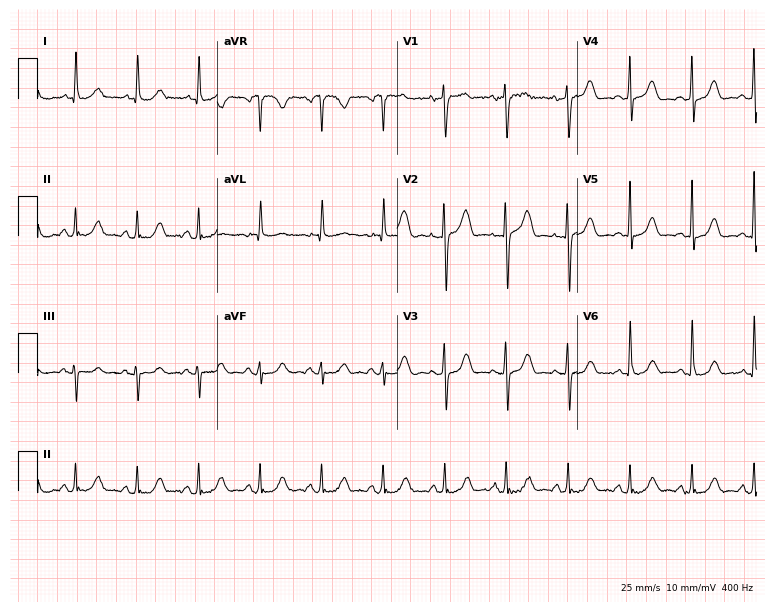
Standard 12-lead ECG recorded from a woman, 75 years old. Read as a normal ECG.